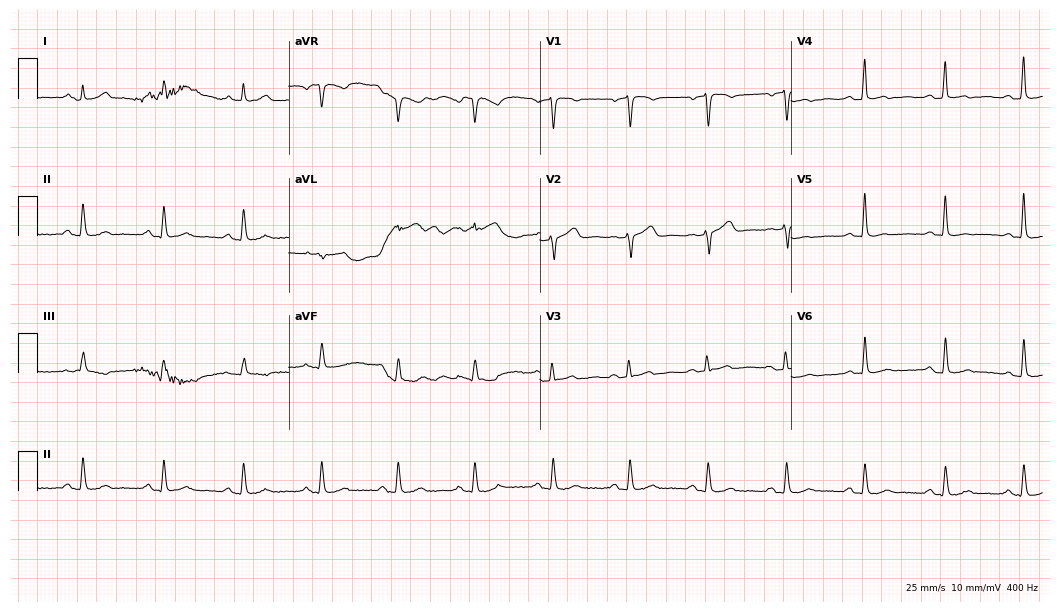
Electrocardiogram (10.2-second recording at 400 Hz), a 49-year-old man. Of the six screened findings (first-degree AV block, right bundle branch block, left bundle branch block, sinus bradycardia, atrial fibrillation, sinus tachycardia), none is recorded.